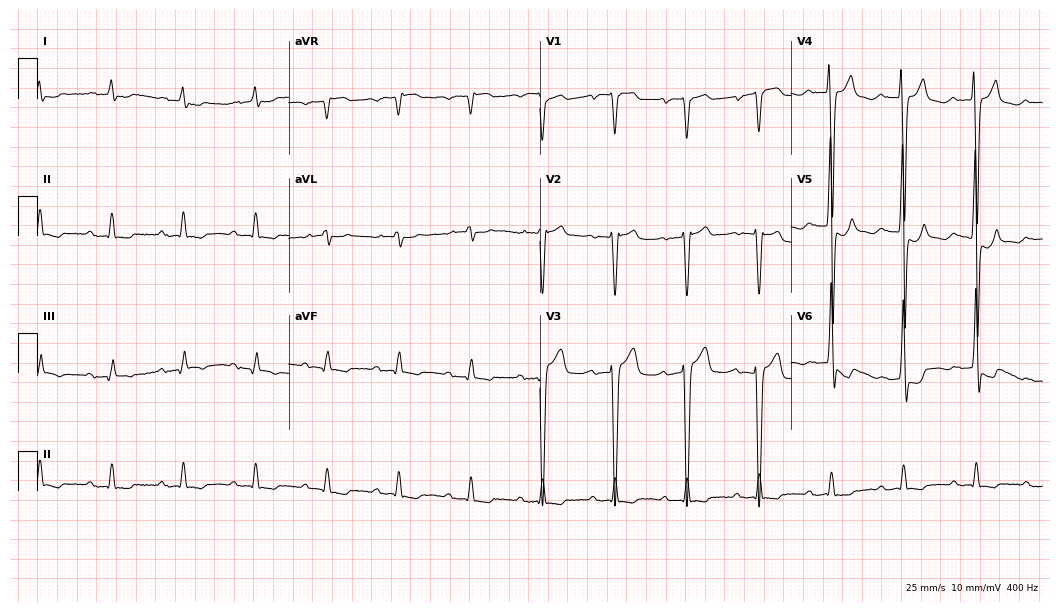
Standard 12-lead ECG recorded from a female, 77 years old (10.2-second recording at 400 Hz). The tracing shows first-degree AV block.